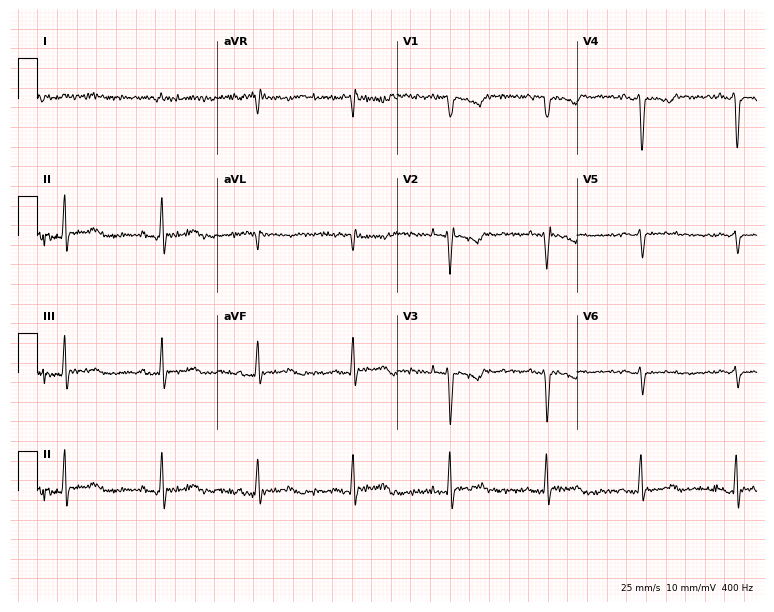
Standard 12-lead ECG recorded from a male, 76 years old. None of these six findings is recorded: first-degree AV block, right bundle branch block, left bundle branch block, sinus bradycardia, atrial fibrillation, sinus tachycardia. Other findings, if any, are not listed.